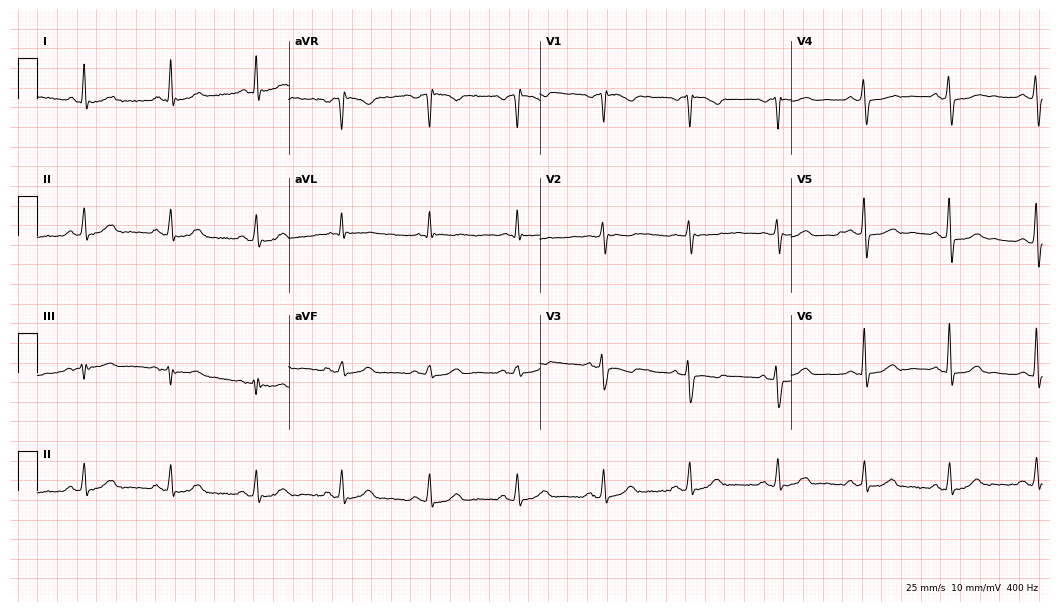
Electrocardiogram, a 69-year-old female. Of the six screened findings (first-degree AV block, right bundle branch block, left bundle branch block, sinus bradycardia, atrial fibrillation, sinus tachycardia), none is recorded. Only these six findings were labelled.